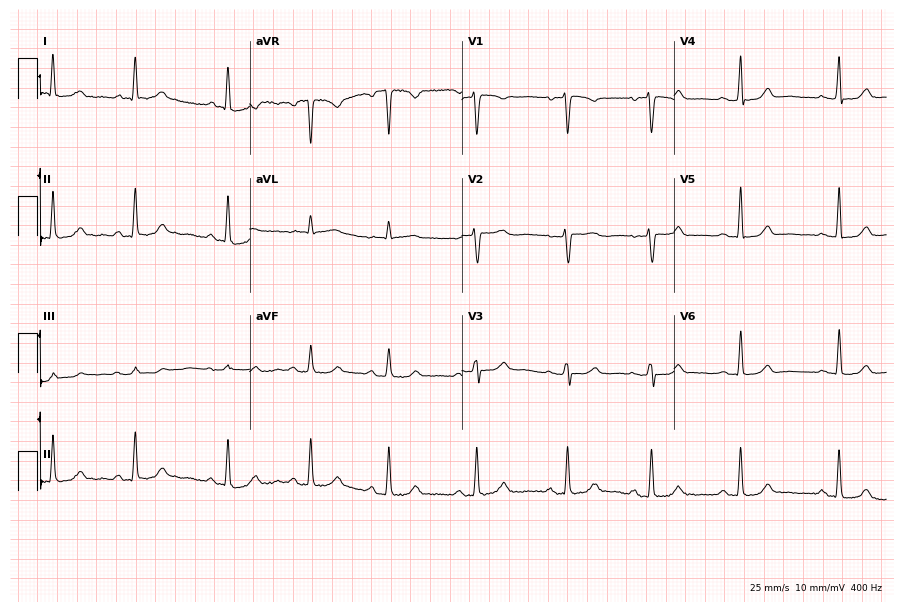
Electrocardiogram, a 69-year-old female patient. Overall reading on record: normal ECG.